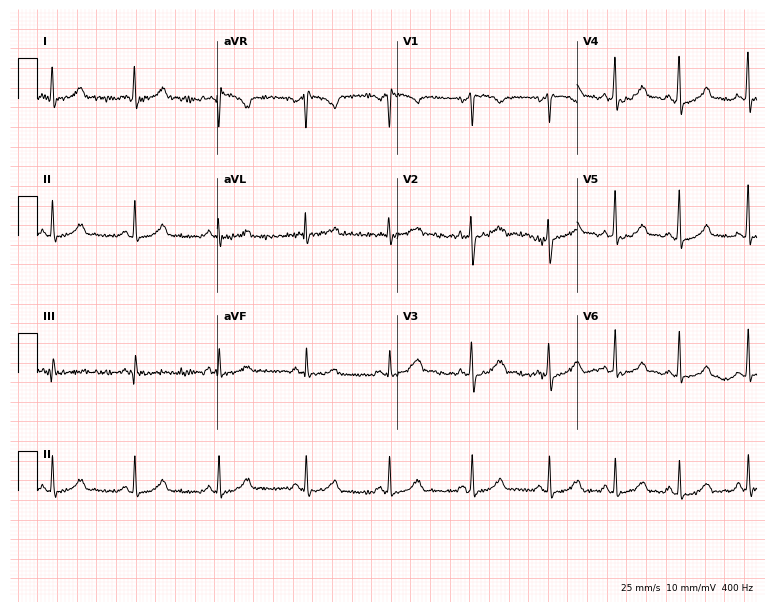
ECG (7.3-second recording at 400 Hz) — a woman, 28 years old. Labelled as a normal ECG.